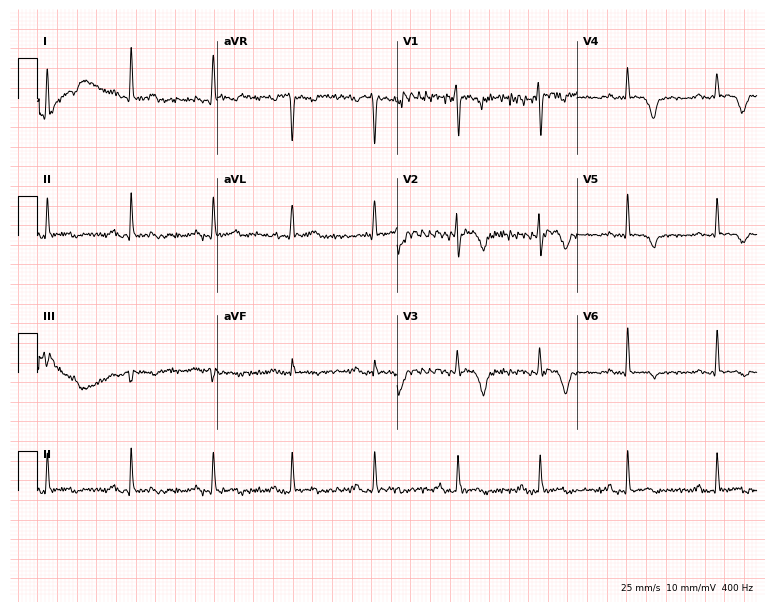
Standard 12-lead ECG recorded from a female patient, 37 years old. None of these six findings is recorded: first-degree AV block, right bundle branch block, left bundle branch block, sinus bradycardia, atrial fibrillation, sinus tachycardia. Only these six findings were labelled.